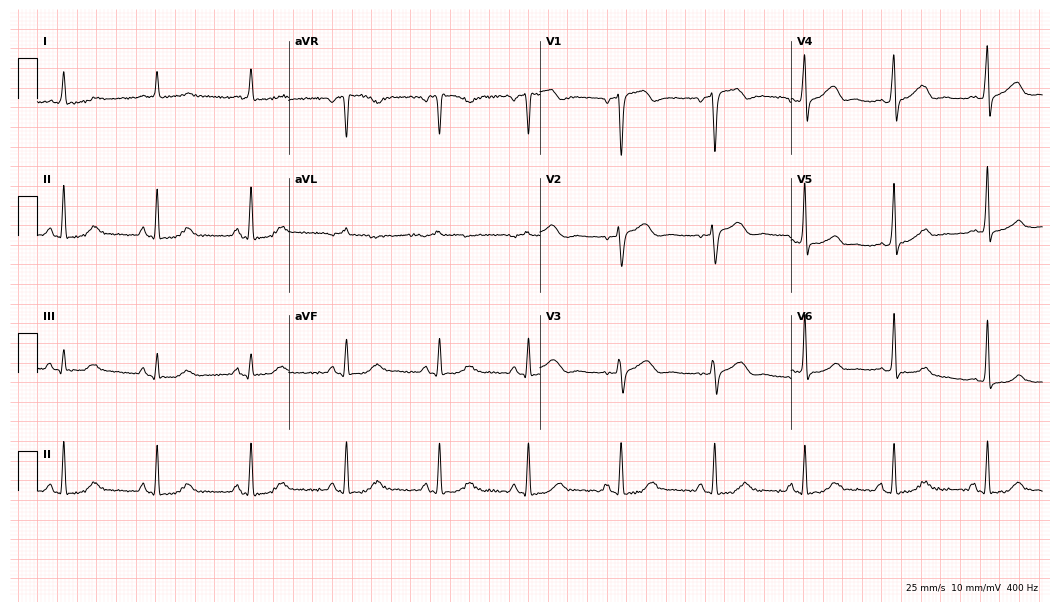
12-lead ECG from a woman, 66 years old. No first-degree AV block, right bundle branch block, left bundle branch block, sinus bradycardia, atrial fibrillation or sinus tachycardia recorded for this tracing. Only these six findings were labelled.